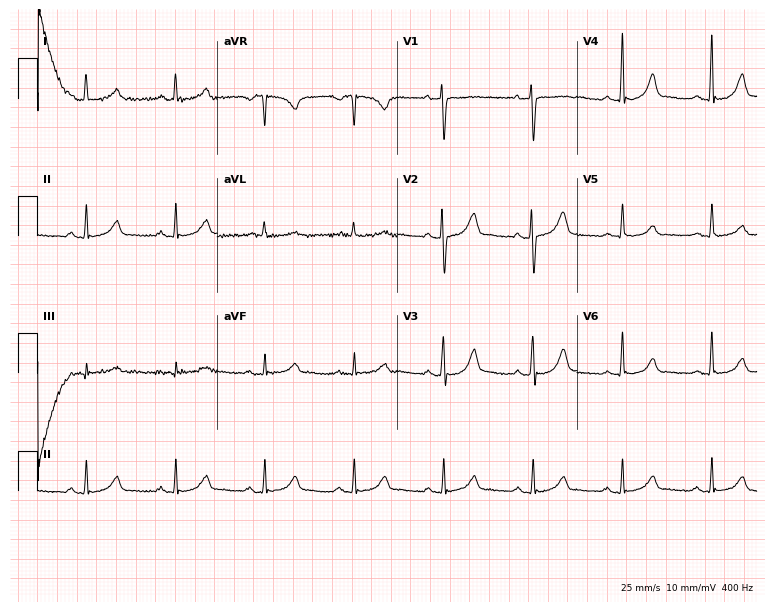
Resting 12-lead electrocardiogram (7.3-second recording at 400 Hz). Patient: a 67-year-old female. Read as a normal ECG.